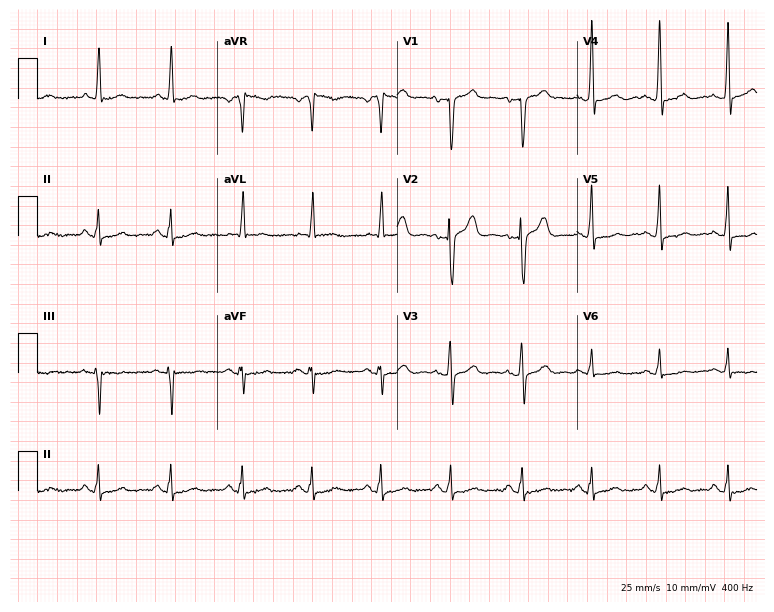
12-lead ECG from a male patient, 61 years old. Screened for six findings — first-degree AV block, right bundle branch block (RBBB), left bundle branch block (LBBB), sinus bradycardia, atrial fibrillation (AF), sinus tachycardia — none is recorded. Other findings, if any, are not listed.